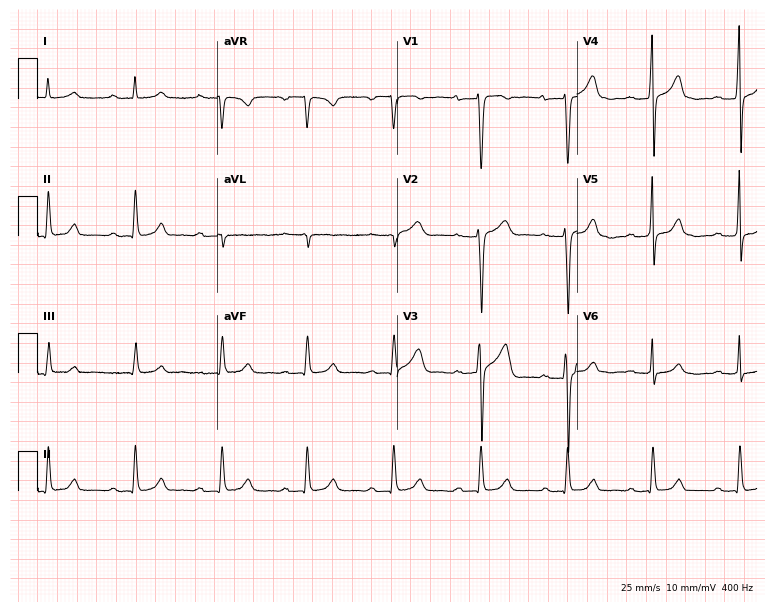
Resting 12-lead electrocardiogram (7.3-second recording at 400 Hz). Patient: a man, 85 years old. Read as a normal ECG.